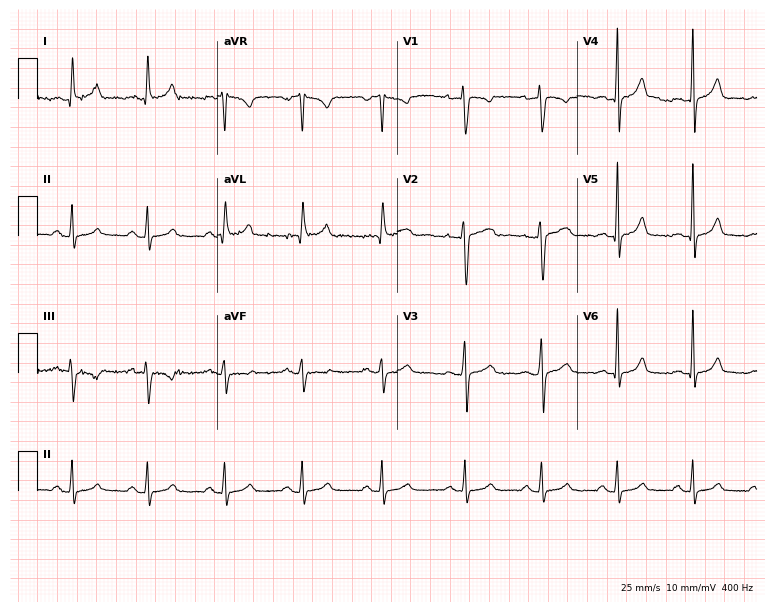
Standard 12-lead ECG recorded from a 38-year-old man (7.3-second recording at 400 Hz). Read as a normal ECG.